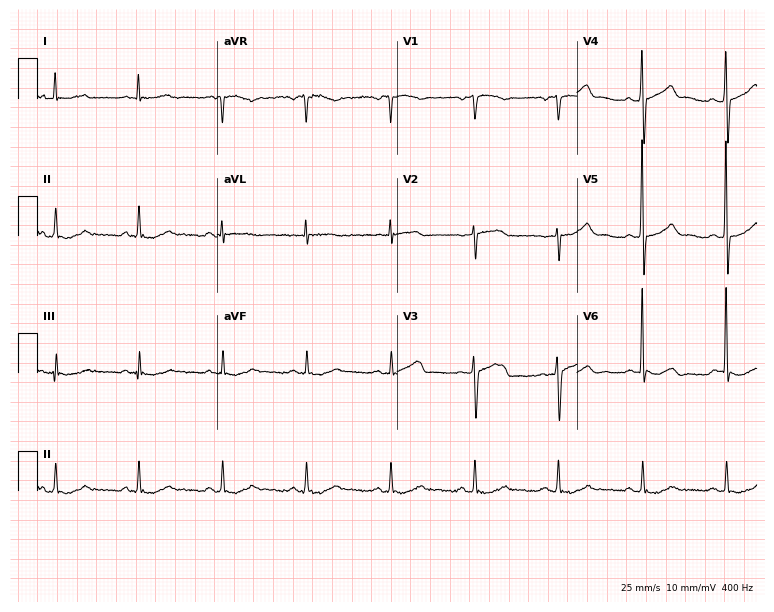
Standard 12-lead ECG recorded from a 67-year-old male. None of these six findings is recorded: first-degree AV block, right bundle branch block, left bundle branch block, sinus bradycardia, atrial fibrillation, sinus tachycardia.